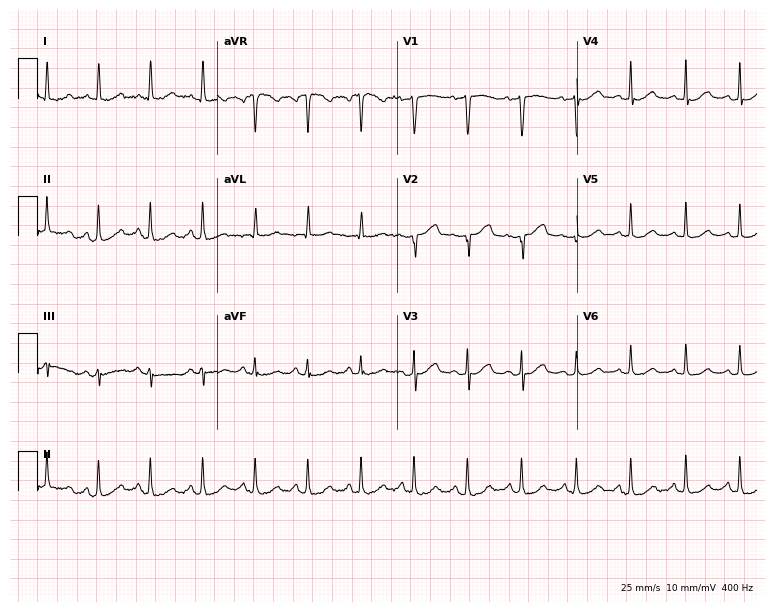
ECG — a female, 51 years old. Screened for six findings — first-degree AV block, right bundle branch block, left bundle branch block, sinus bradycardia, atrial fibrillation, sinus tachycardia — none is recorded. Only these six findings were labelled.